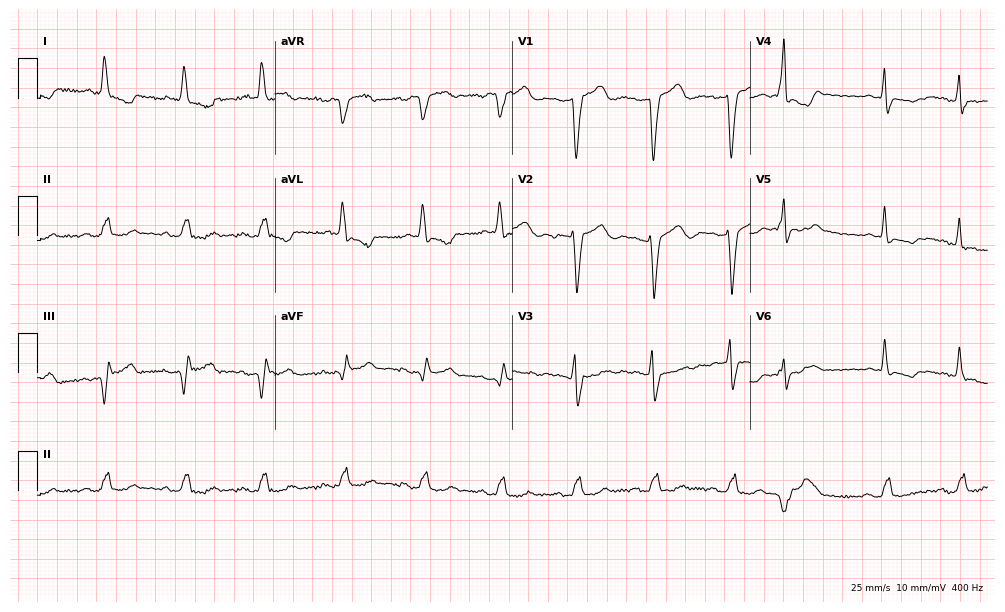
12-lead ECG from a female, 65 years old. Shows left bundle branch block.